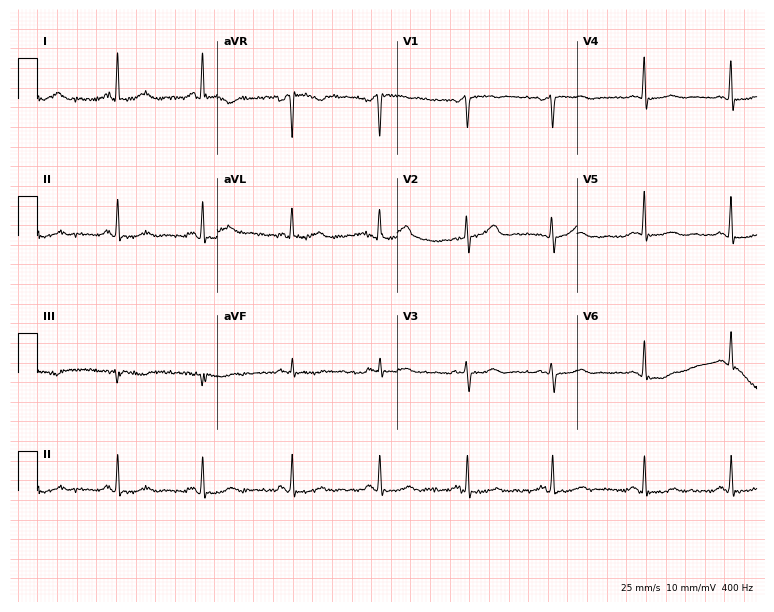
12-lead ECG (7.3-second recording at 400 Hz) from a 61-year-old female patient. Screened for six findings — first-degree AV block, right bundle branch block, left bundle branch block, sinus bradycardia, atrial fibrillation, sinus tachycardia — none is recorded. Findings outside these six are not listed.